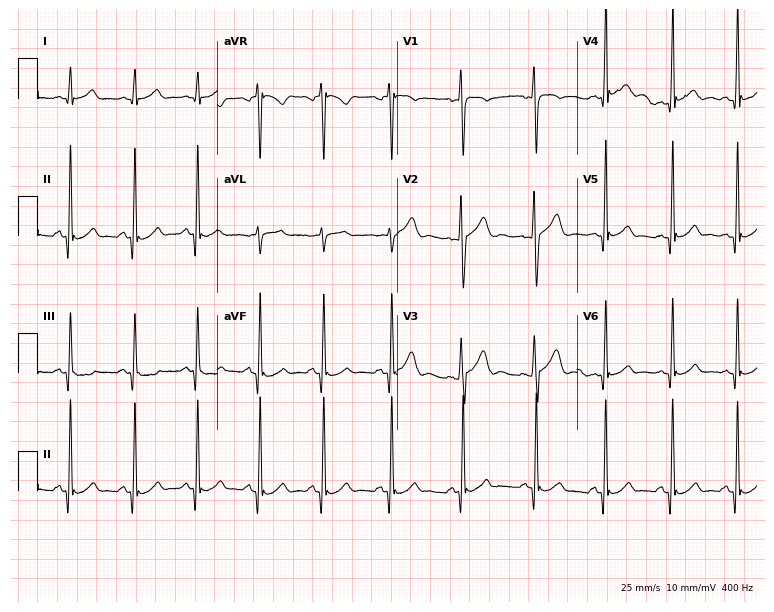
Resting 12-lead electrocardiogram (7.3-second recording at 400 Hz). Patient: a 25-year-old man. Read as a normal ECG.